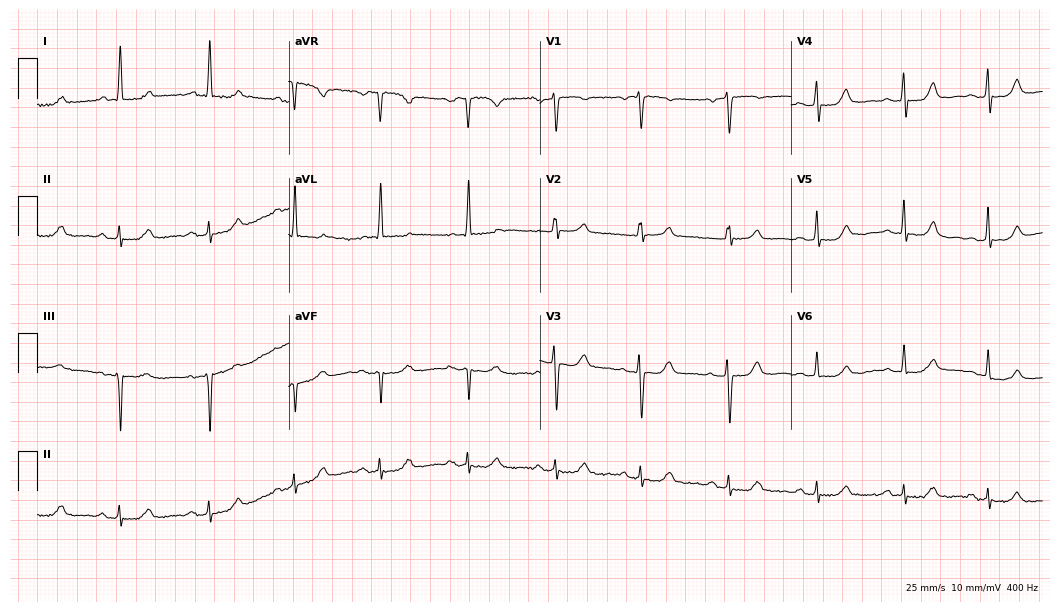
Resting 12-lead electrocardiogram (10.2-second recording at 400 Hz). Patient: a 69-year-old woman. Read as a normal ECG.